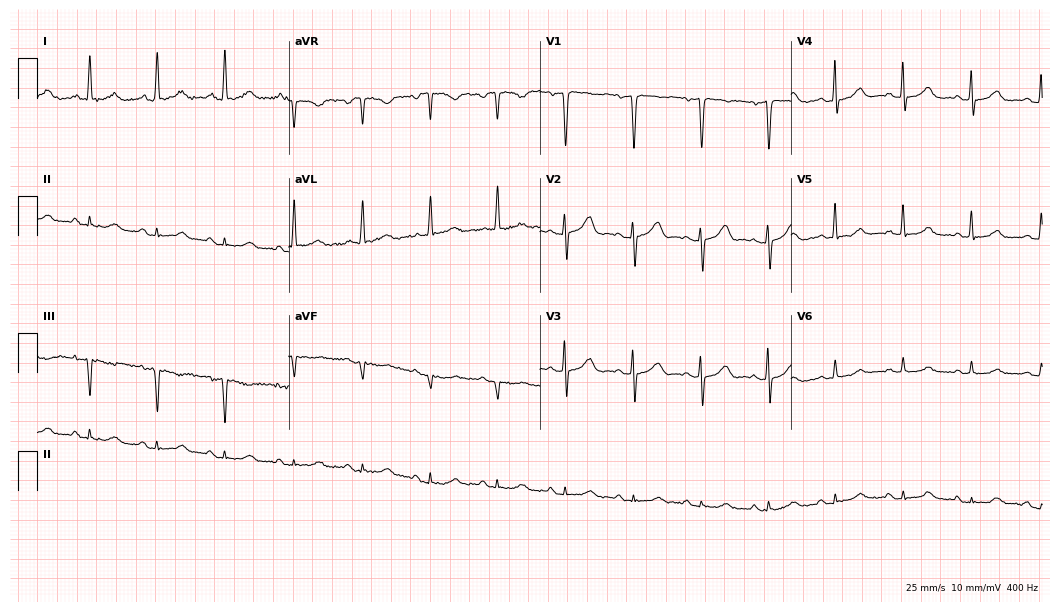
12-lead ECG from an 80-year-old female. Recorded interpretation: within normal limits.